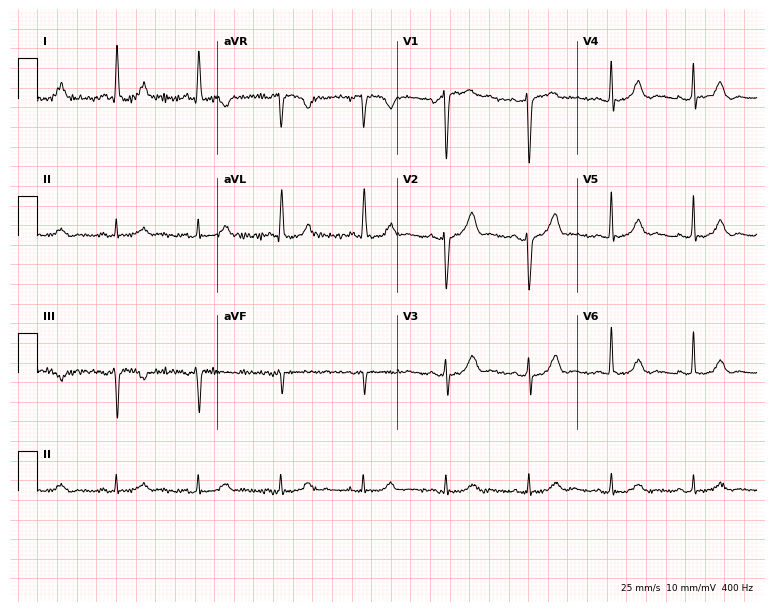
12-lead ECG from a woman, 57 years old. Labelled as a normal ECG.